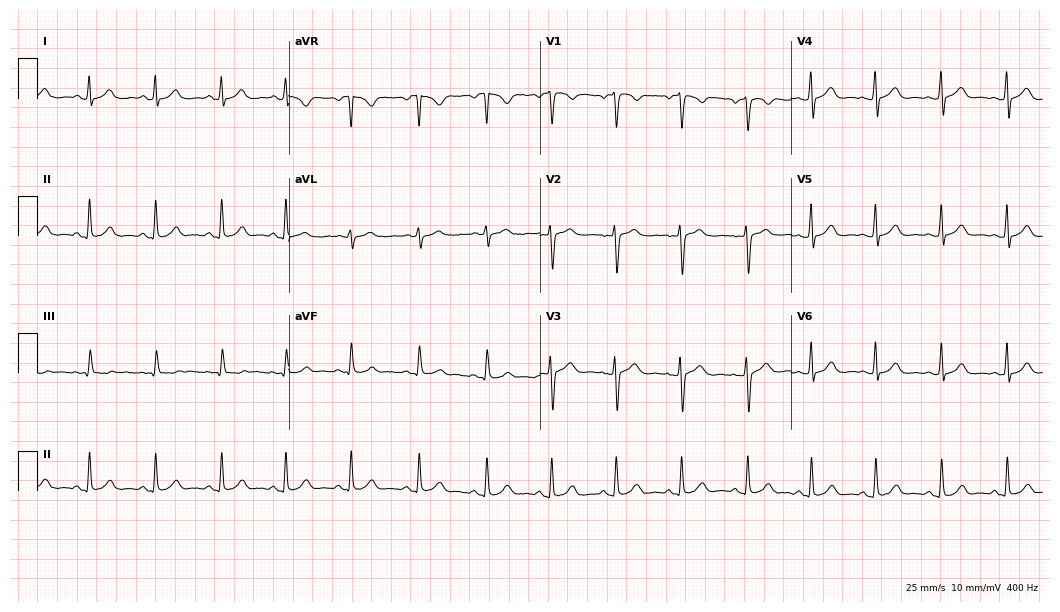
12-lead ECG (10.2-second recording at 400 Hz) from a 25-year-old female patient. Labelled as a normal ECG.